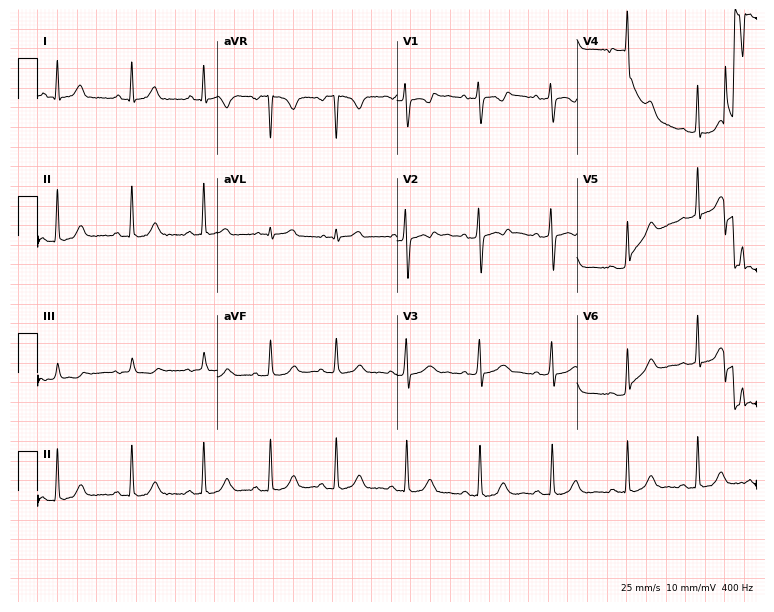
Electrocardiogram, a woman, 20 years old. Of the six screened findings (first-degree AV block, right bundle branch block, left bundle branch block, sinus bradycardia, atrial fibrillation, sinus tachycardia), none is recorded.